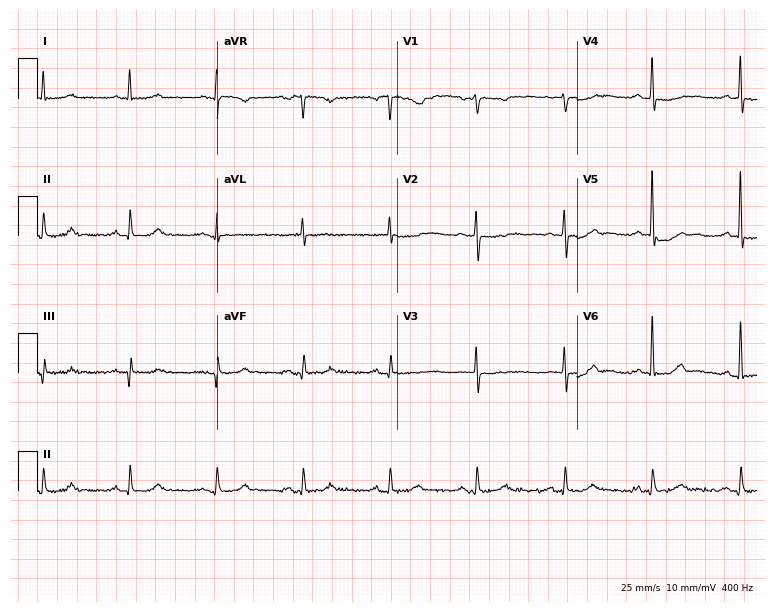
Standard 12-lead ECG recorded from a male patient, 82 years old. None of these six findings is recorded: first-degree AV block, right bundle branch block (RBBB), left bundle branch block (LBBB), sinus bradycardia, atrial fibrillation (AF), sinus tachycardia.